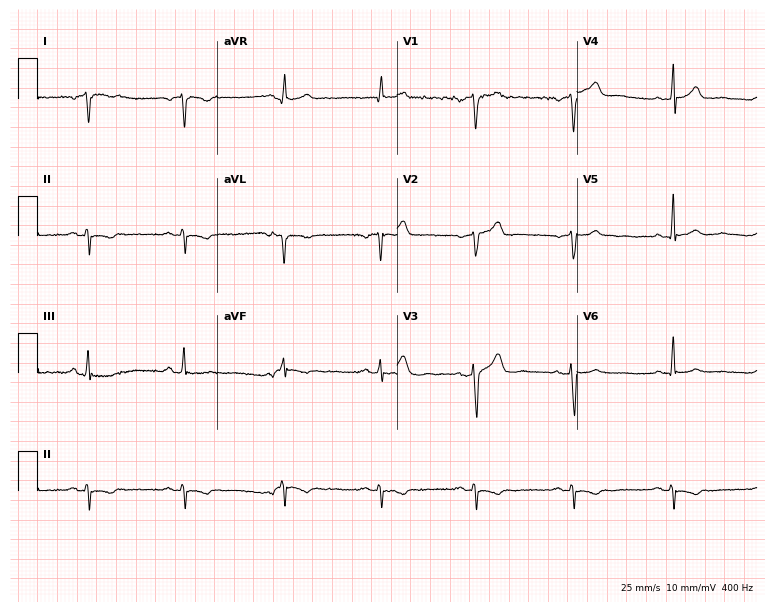
12-lead ECG from a 52-year-old man. No first-degree AV block, right bundle branch block, left bundle branch block, sinus bradycardia, atrial fibrillation or sinus tachycardia recorded for this tracing.